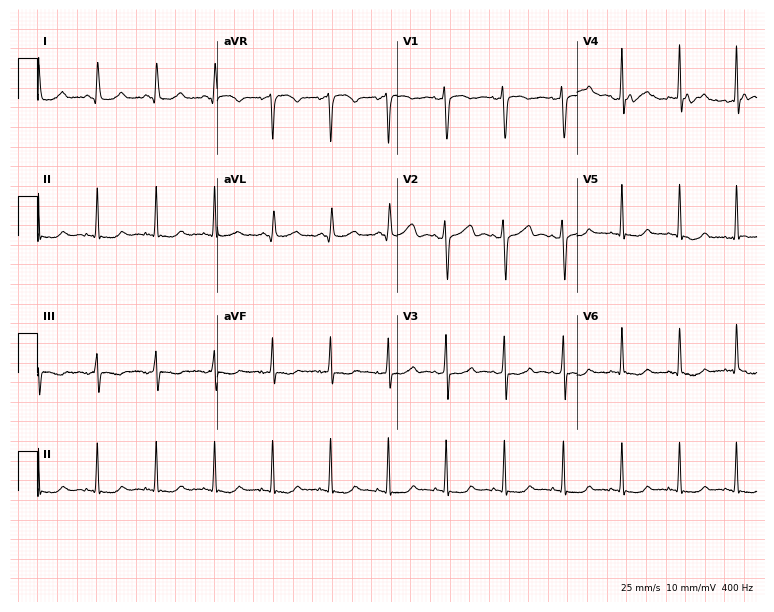
Standard 12-lead ECG recorded from a 44-year-old female (7.3-second recording at 400 Hz). None of these six findings is recorded: first-degree AV block, right bundle branch block (RBBB), left bundle branch block (LBBB), sinus bradycardia, atrial fibrillation (AF), sinus tachycardia.